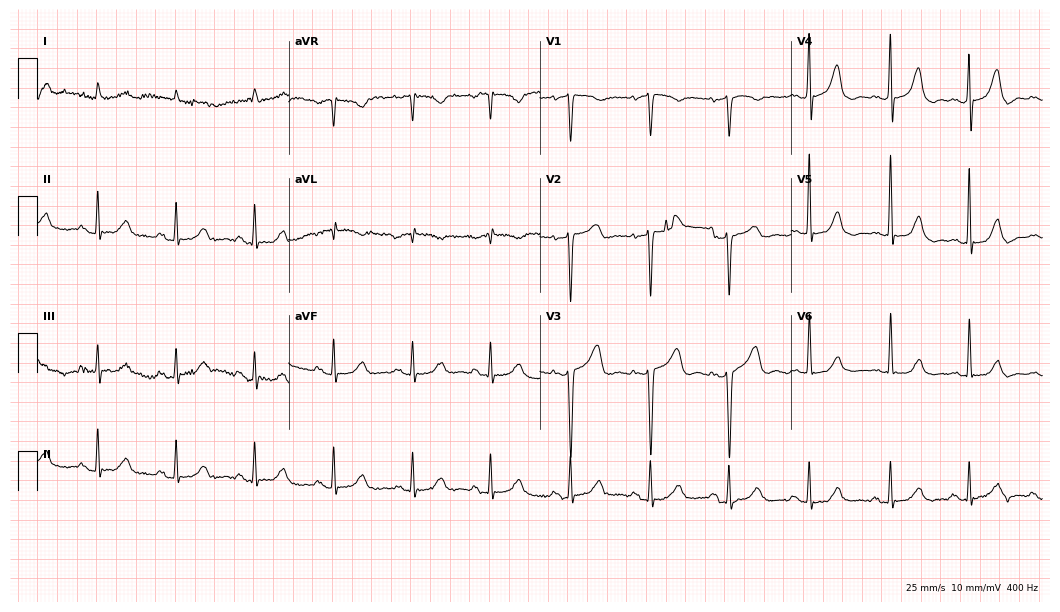
Electrocardiogram, a female, 81 years old. Overall reading on record: normal ECG.